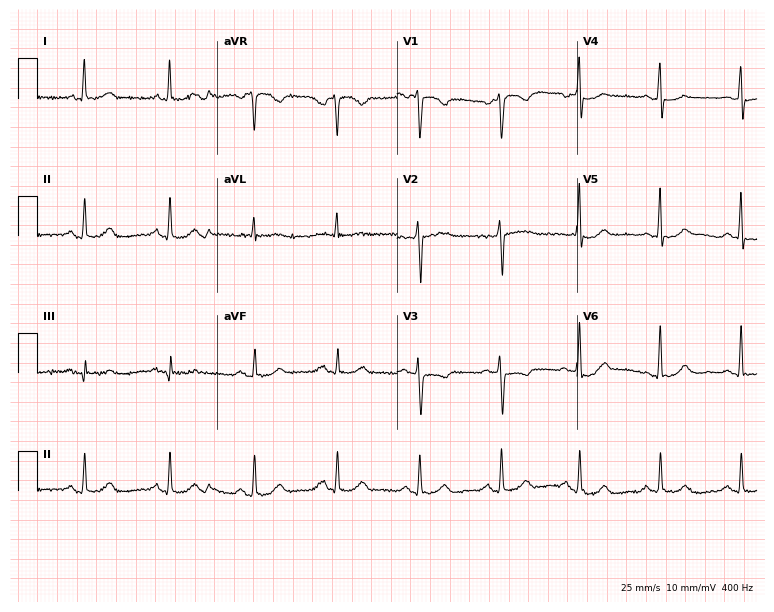
Standard 12-lead ECG recorded from a female patient, 48 years old. None of these six findings is recorded: first-degree AV block, right bundle branch block, left bundle branch block, sinus bradycardia, atrial fibrillation, sinus tachycardia. Other findings, if any, are not listed.